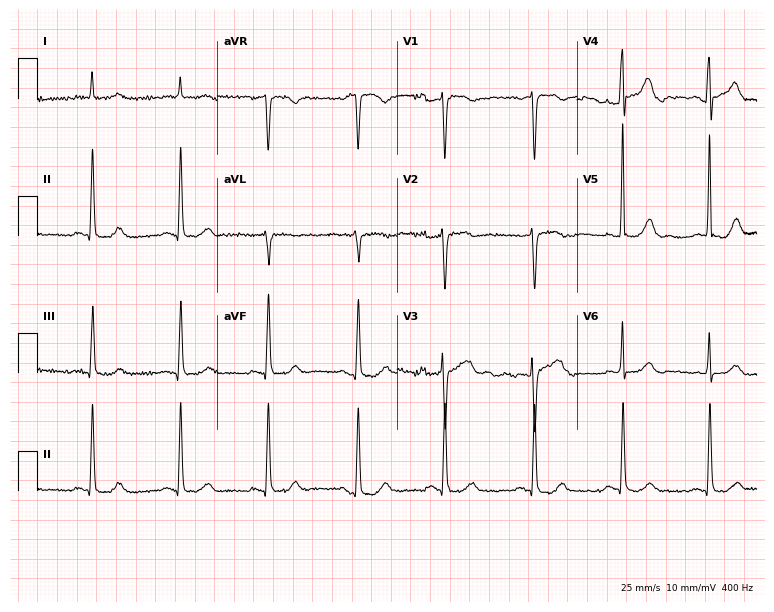
12-lead ECG from a male patient, 72 years old. Screened for six findings — first-degree AV block, right bundle branch block, left bundle branch block, sinus bradycardia, atrial fibrillation, sinus tachycardia — none is recorded. Findings outside these six are not listed.